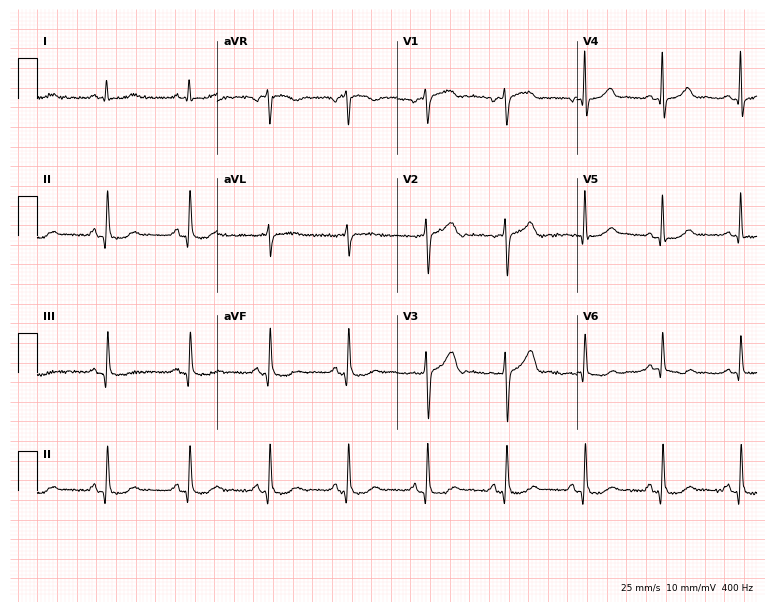
12-lead ECG from a female, 50 years old (7.3-second recording at 400 Hz). Recorded interpretation: within normal limits.